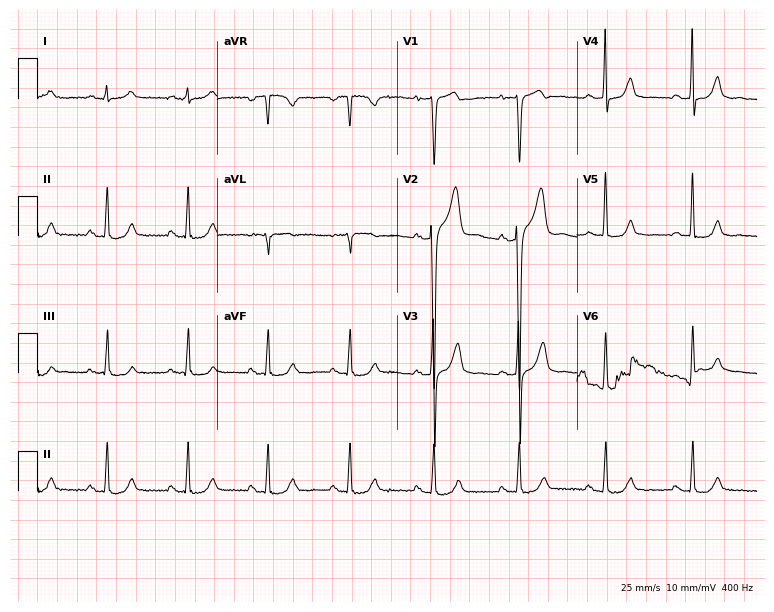
Electrocardiogram (7.3-second recording at 400 Hz), a 43-year-old male. Overall reading on record: normal ECG.